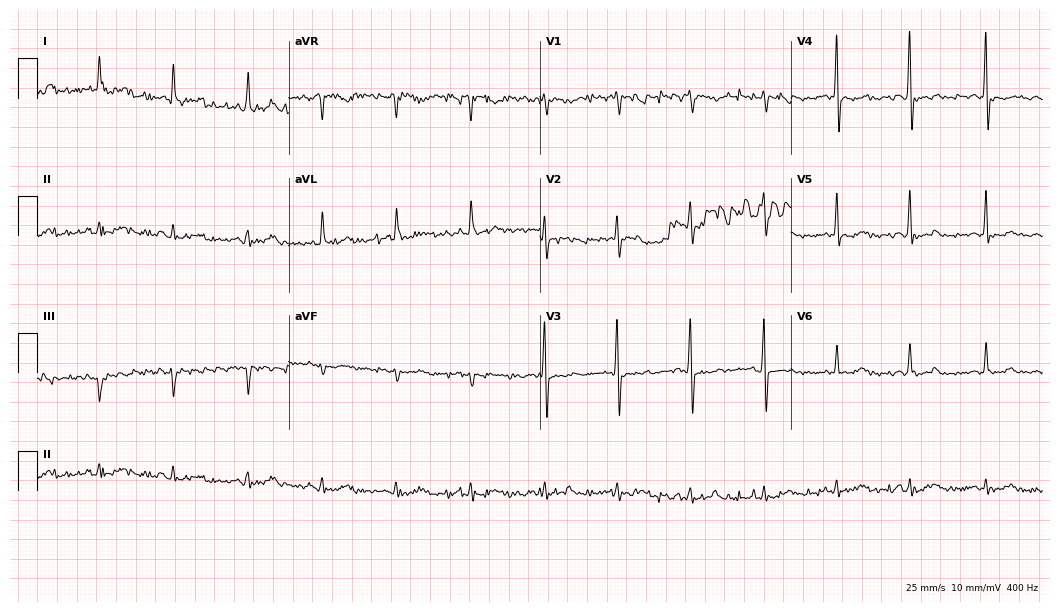
Electrocardiogram, a 73-year-old woman. Of the six screened findings (first-degree AV block, right bundle branch block, left bundle branch block, sinus bradycardia, atrial fibrillation, sinus tachycardia), none is recorded. Findings outside these six are not listed.